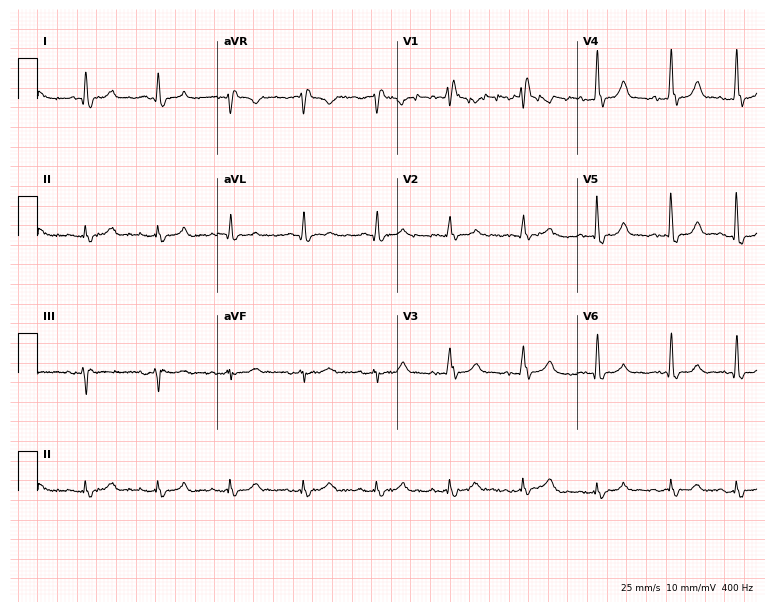
12-lead ECG from a male patient, 69 years old. Shows right bundle branch block (RBBB).